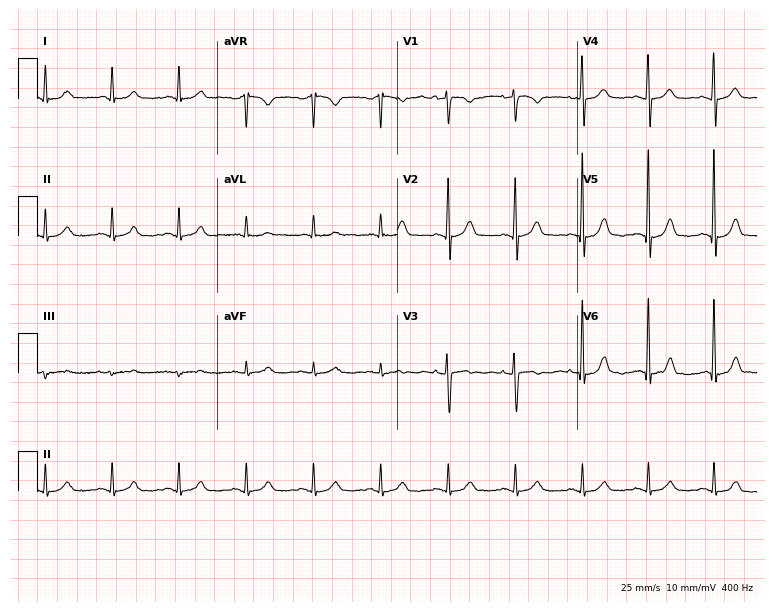
Resting 12-lead electrocardiogram. Patient: a 71-year-old woman. Read as a normal ECG.